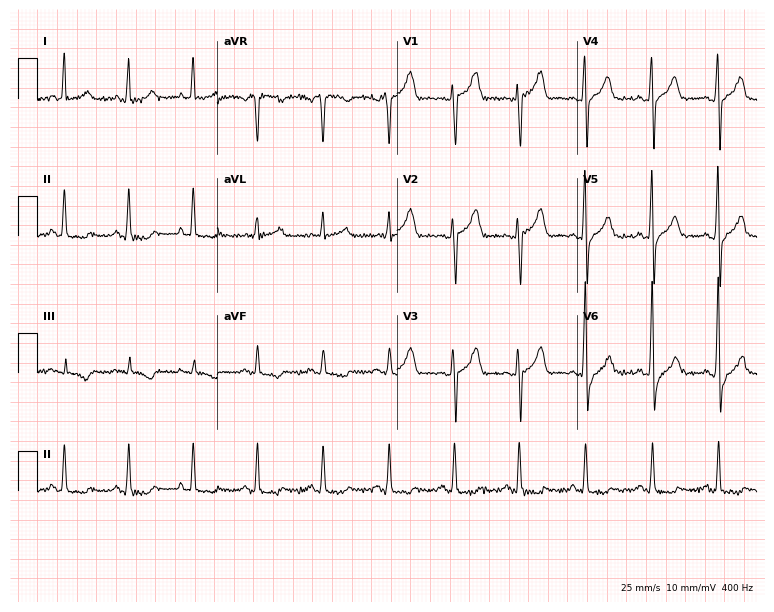
ECG — a 45-year-old male patient. Screened for six findings — first-degree AV block, right bundle branch block, left bundle branch block, sinus bradycardia, atrial fibrillation, sinus tachycardia — none is recorded. Findings outside these six are not listed.